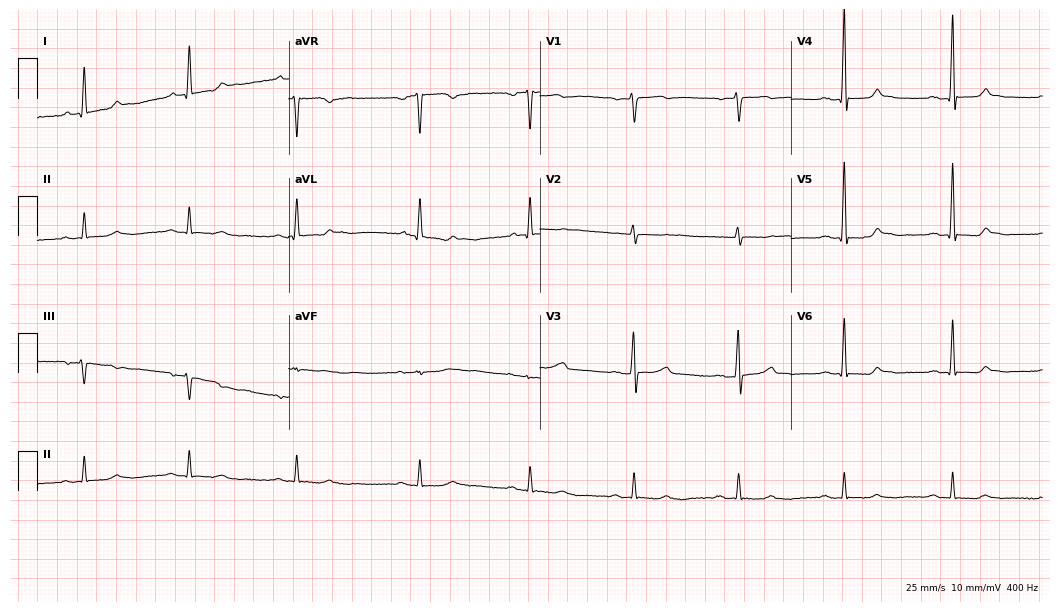
Electrocardiogram, a female, 54 years old. Of the six screened findings (first-degree AV block, right bundle branch block, left bundle branch block, sinus bradycardia, atrial fibrillation, sinus tachycardia), none is recorded.